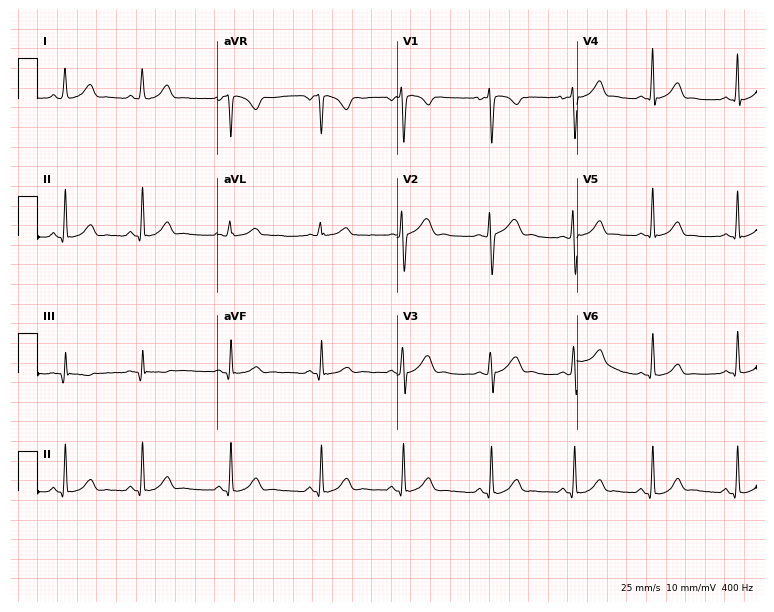
12-lead ECG from an 18-year-old woman (7.3-second recording at 400 Hz). No first-degree AV block, right bundle branch block (RBBB), left bundle branch block (LBBB), sinus bradycardia, atrial fibrillation (AF) or sinus tachycardia recorded for this tracing. Other findings, if any, are not listed.